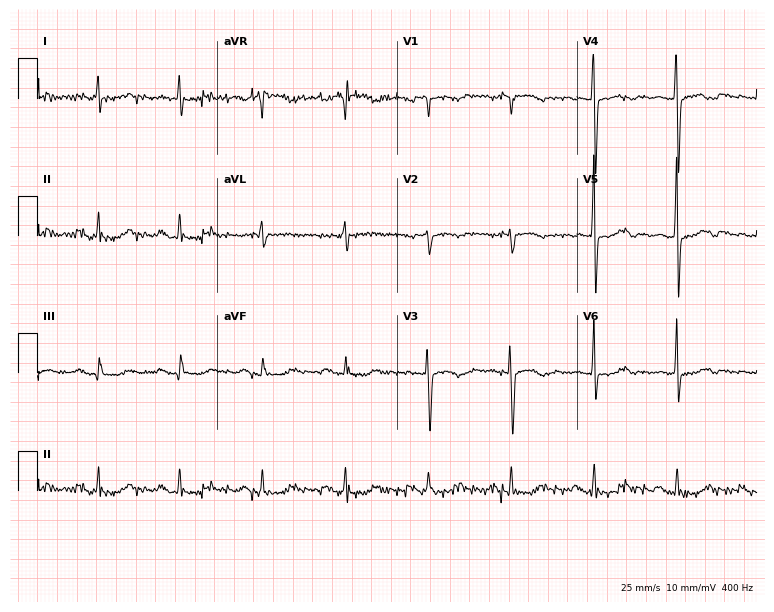
12-lead ECG from a female, 81 years old. Screened for six findings — first-degree AV block, right bundle branch block, left bundle branch block, sinus bradycardia, atrial fibrillation, sinus tachycardia — none is recorded.